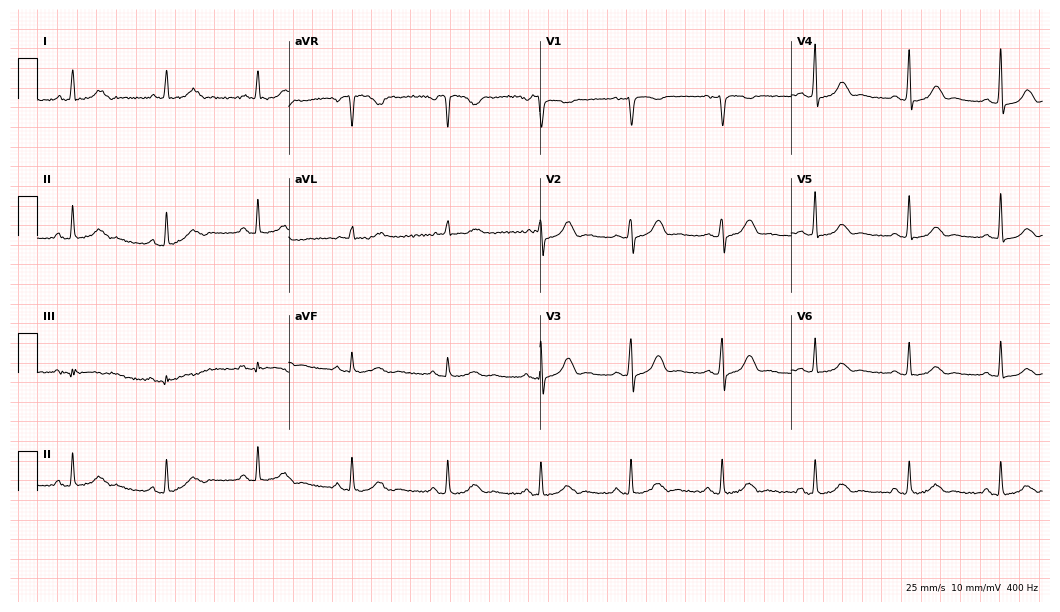
Electrocardiogram (10.2-second recording at 400 Hz), a 52-year-old female. Overall reading on record: normal ECG.